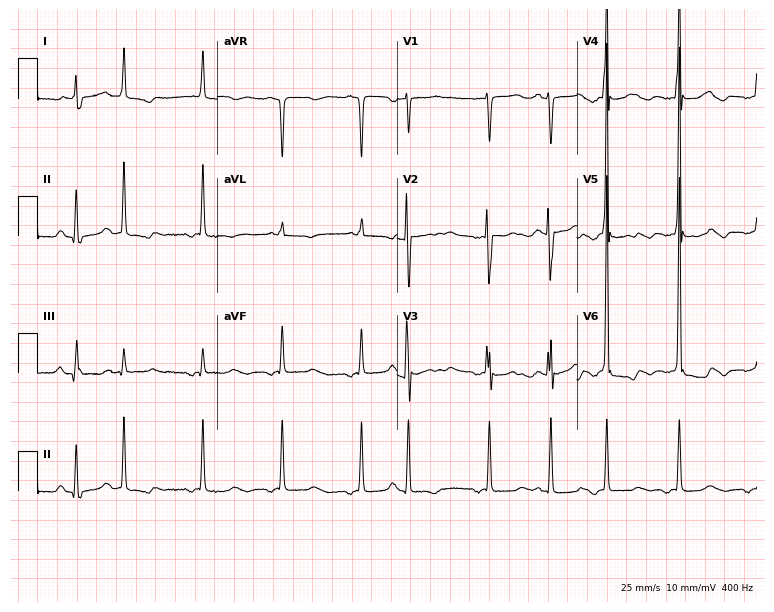
Electrocardiogram (7.3-second recording at 400 Hz), a female patient, 83 years old. Interpretation includes atrial fibrillation.